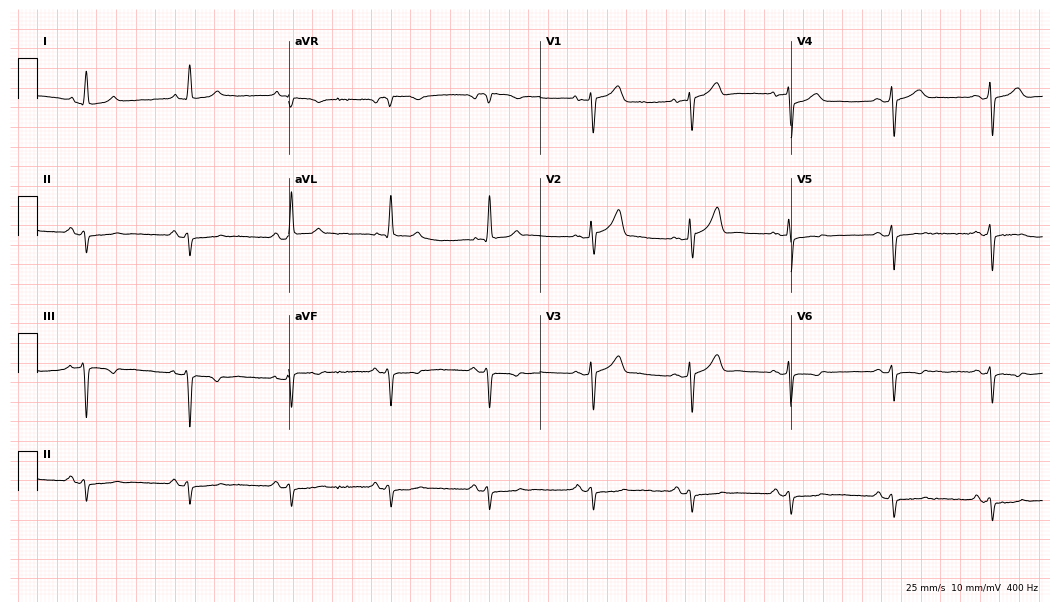
12-lead ECG from a 69-year-old man (10.2-second recording at 400 Hz). No first-degree AV block, right bundle branch block, left bundle branch block, sinus bradycardia, atrial fibrillation or sinus tachycardia recorded for this tracing.